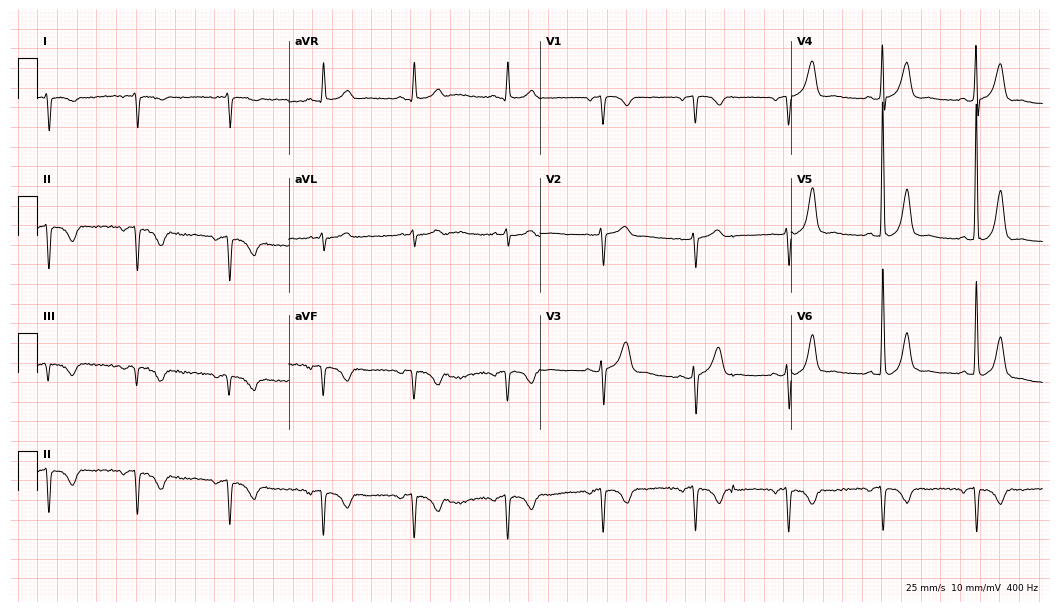
Standard 12-lead ECG recorded from a 73-year-old male. None of these six findings is recorded: first-degree AV block, right bundle branch block (RBBB), left bundle branch block (LBBB), sinus bradycardia, atrial fibrillation (AF), sinus tachycardia. Other findings, if any, are not listed.